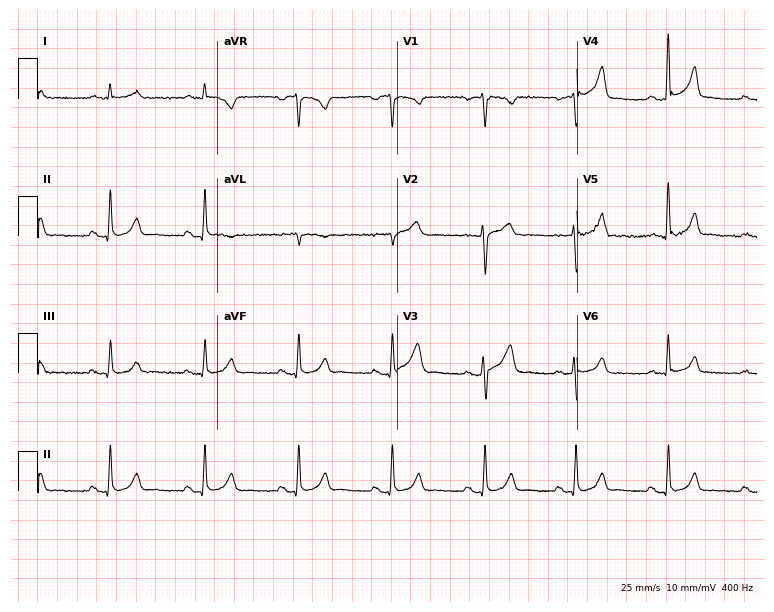
Electrocardiogram, a male, 51 years old. Overall reading on record: normal ECG.